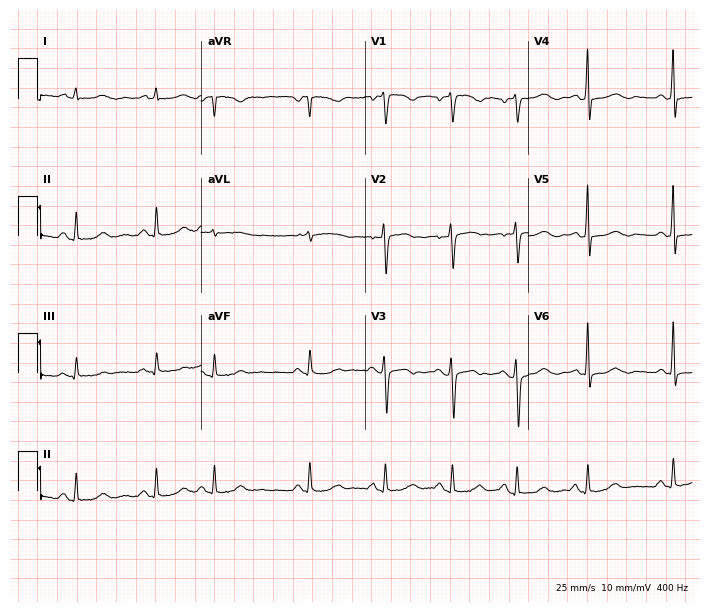
ECG (6.7-second recording at 400 Hz) — a female, 52 years old. Screened for six findings — first-degree AV block, right bundle branch block (RBBB), left bundle branch block (LBBB), sinus bradycardia, atrial fibrillation (AF), sinus tachycardia — none is recorded. Other findings, if any, are not listed.